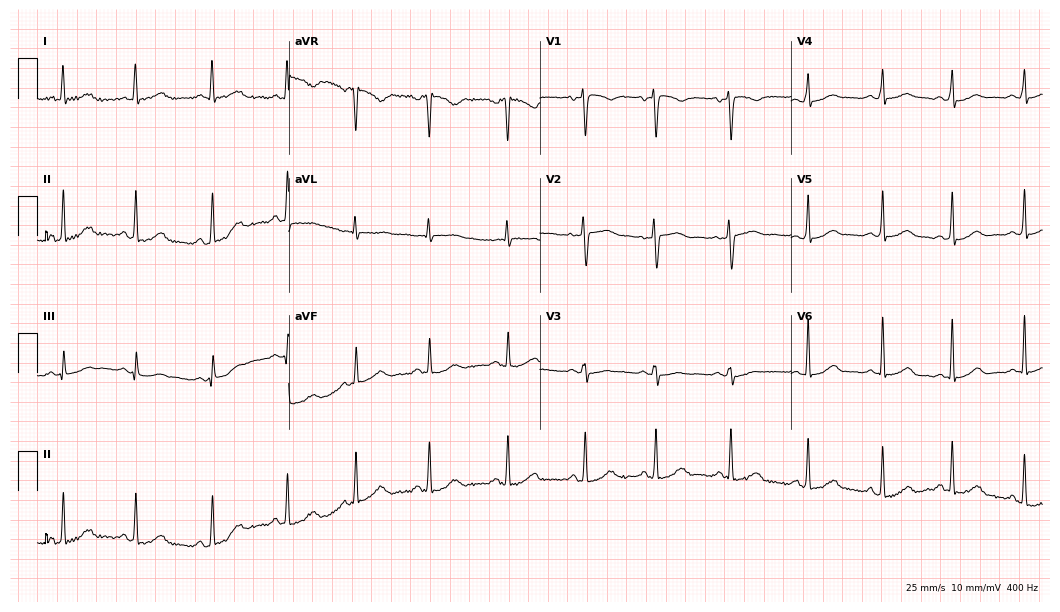
ECG (10.2-second recording at 400 Hz) — a female, 31 years old. Screened for six findings — first-degree AV block, right bundle branch block (RBBB), left bundle branch block (LBBB), sinus bradycardia, atrial fibrillation (AF), sinus tachycardia — none is recorded.